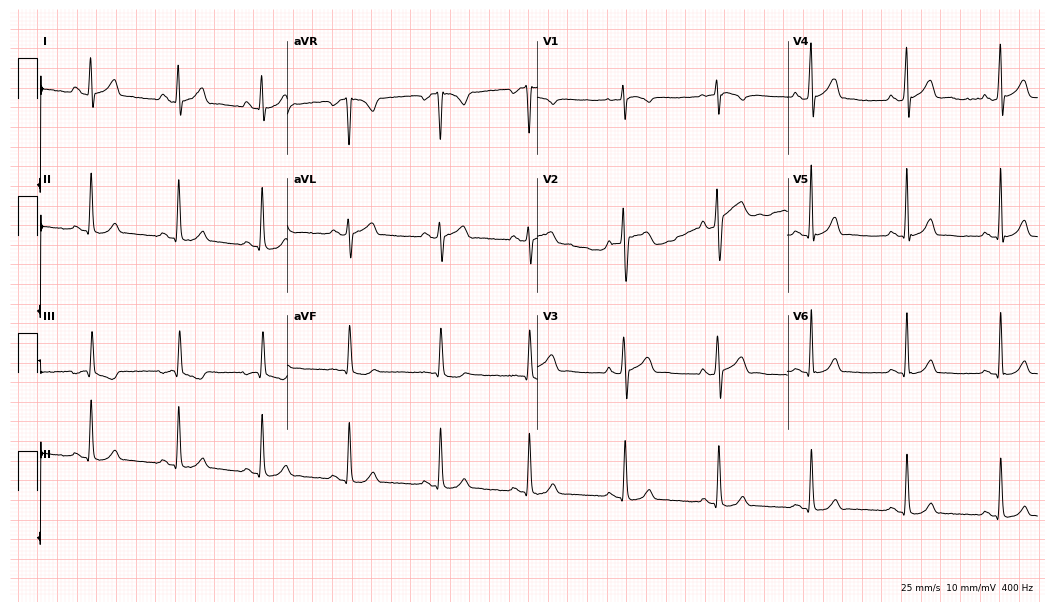
ECG — a male patient, 33 years old. Labelled as a normal ECG.